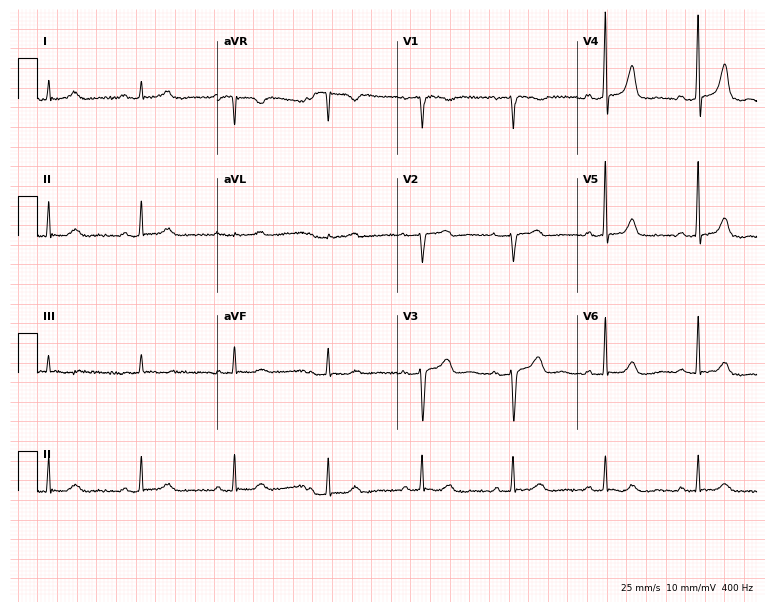
12-lead ECG (7.3-second recording at 400 Hz) from a 49-year-old female. Labelled as a normal ECG.